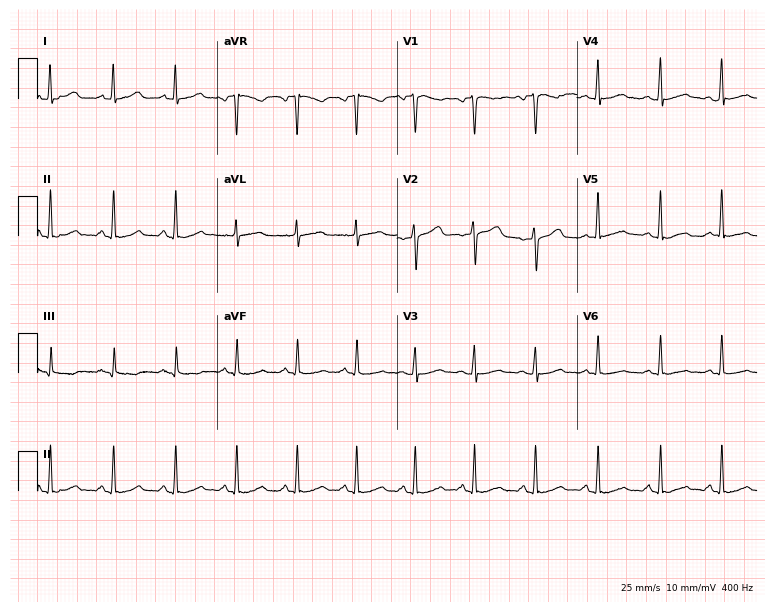
12-lead ECG (7.3-second recording at 400 Hz) from a female patient, 37 years old. Screened for six findings — first-degree AV block, right bundle branch block, left bundle branch block, sinus bradycardia, atrial fibrillation, sinus tachycardia — none is recorded. Other findings, if any, are not listed.